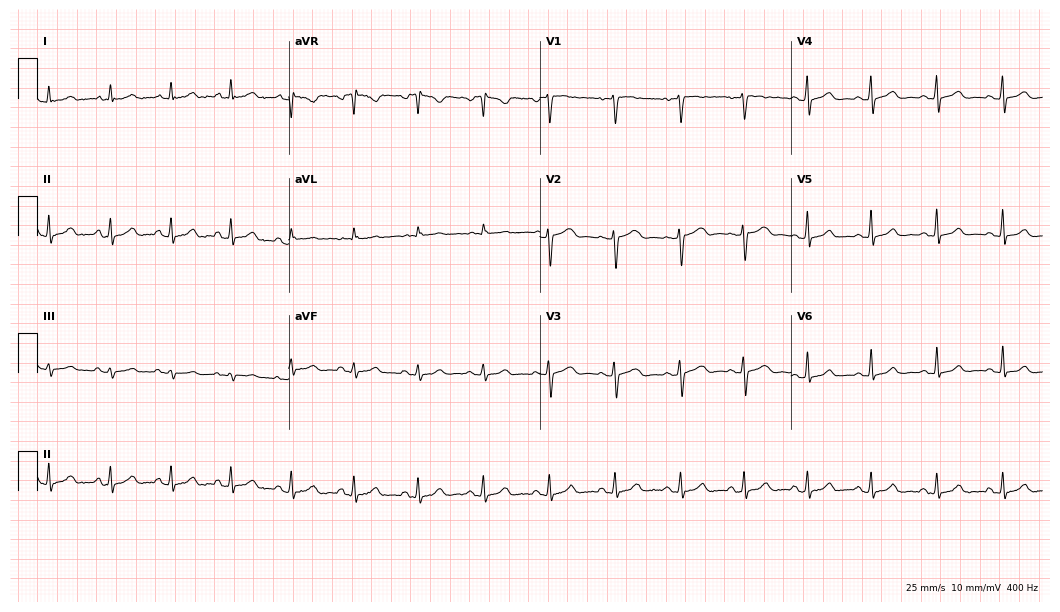
ECG (10.2-second recording at 400 Hz) — a female, 23 years old. Screened for six findings — first-degree AV block, right bundle branch block, left bundle branch block, sinus bradycardia, atrial fibrillation, sinus tachycardia — none is recorded.